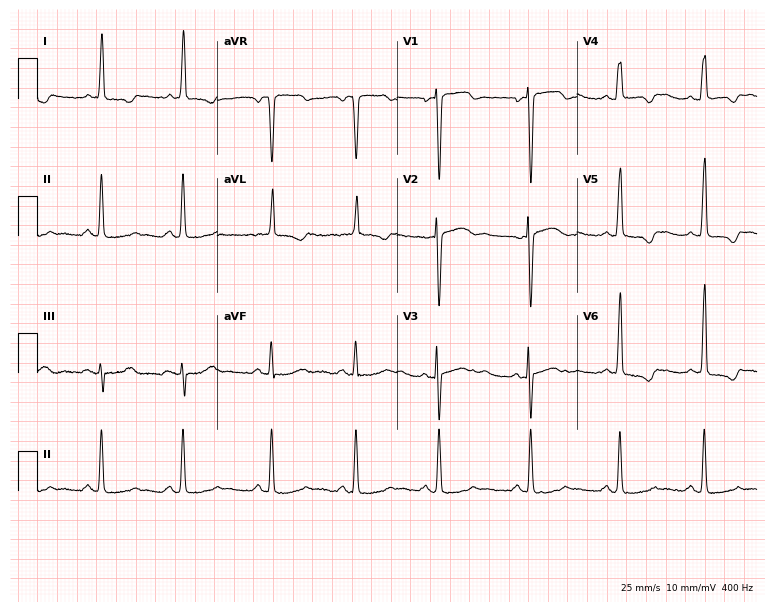
ECG (7.3-second recording at 400 Hz) — a 60-year-old woman. Screened for six findings — first-degree AV block, right bundle branch block (RBBB), left bundle branch block (LBBB), sinus bradycardia, atrial fibrillation (AF), sinus tachycardia — none is recorded.